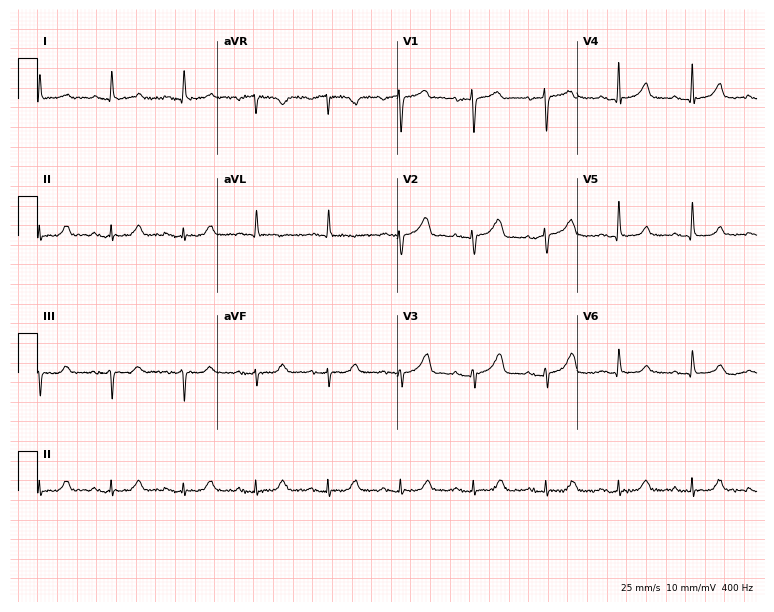
ECG — a female, 82 years old. Screened for six findings — first-degree AV block, right bundle branch block (RBBB), left bundle branch block (LBBB), sinus bradycardia, atrial fibrillation (AF), sinus tachycardia — none is recorded. Only these six findings were labelled.